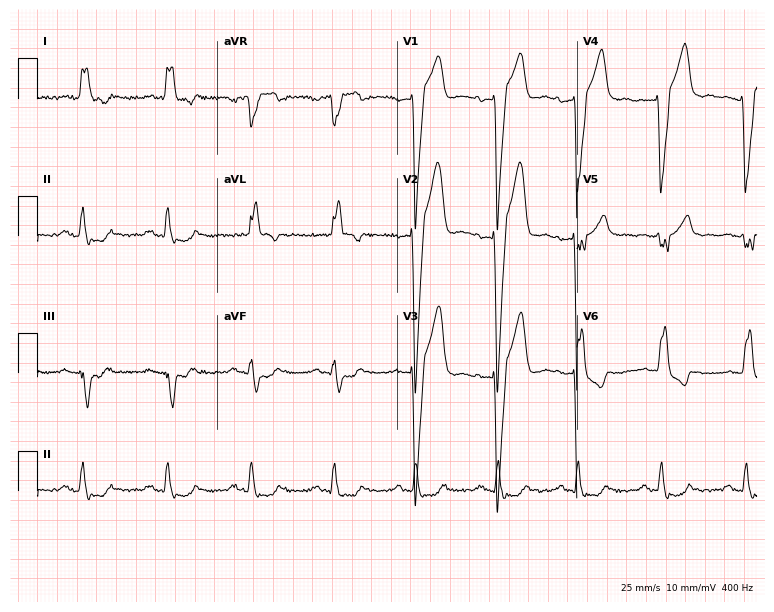
Electrocardiogram (7.3-second recording at 400 Hz), a male patient, 49 years old. Interpretation includes left bundle branch block (LBBB).